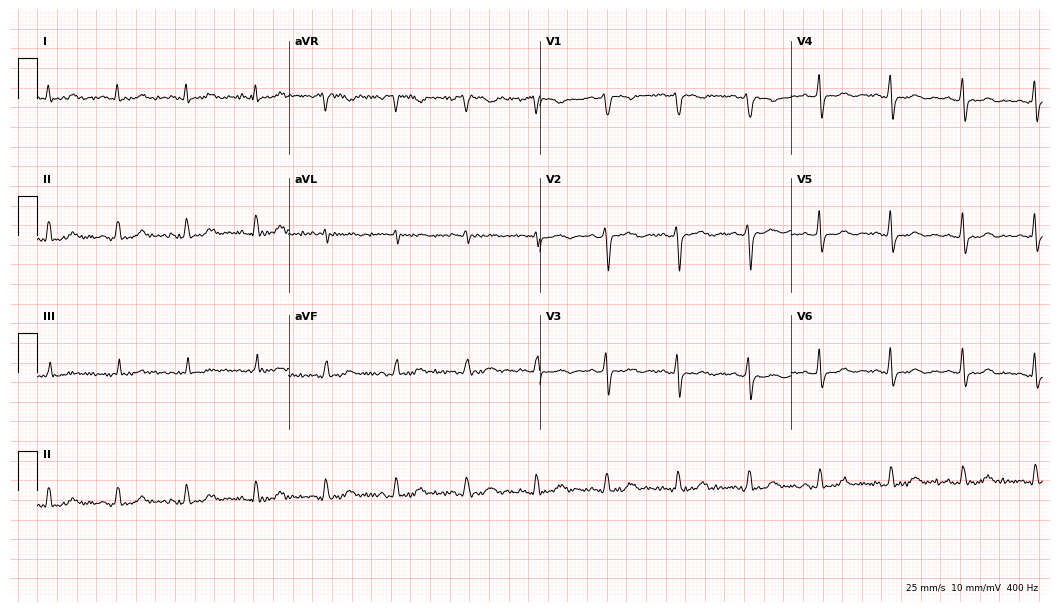
12-lead ECG from a female patient, 50 years old (10.2-second recording at 400 Hz). No first-degree AV block, right bundle branch block (RBBB), left bundle branch block (LBBB), sinus bradycardia, atrial fibrillation (AF) or sinus tachycardia recorded for this tracing. Other findings, if any, are not listed.